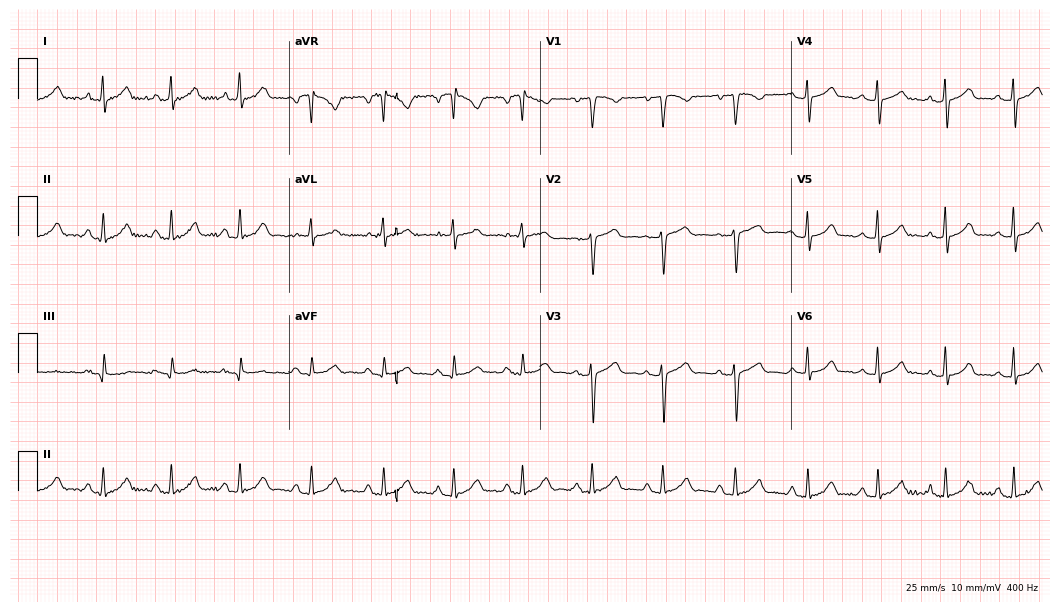
12-lead ECG from a woman, 32 years old. Recorded interpretation: within normal limits.